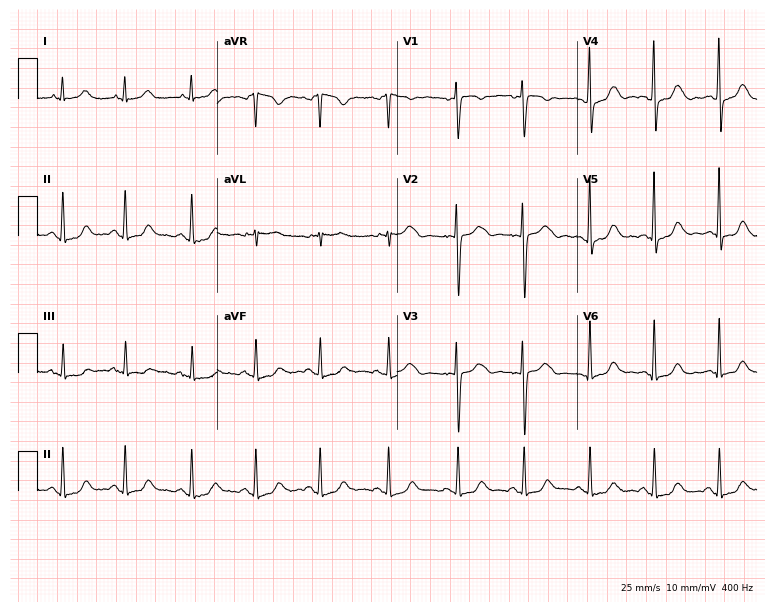
Standard 12-lead ECG recorded from a 47-year-old female (7.3-second recording at 400 Hz). Read as a normal ECG.